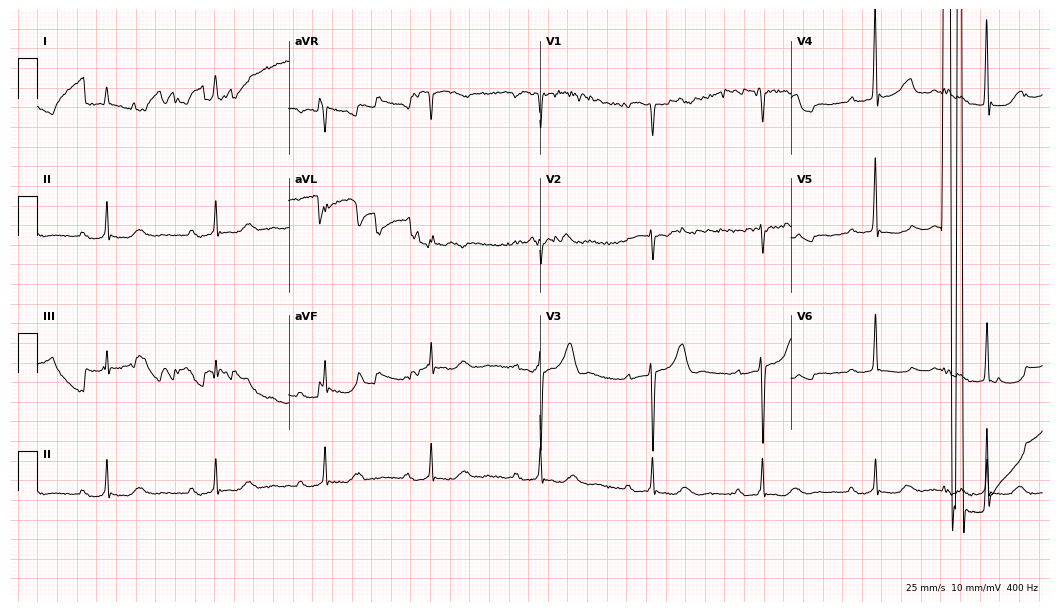
Standard 12-lead ECG recorded from a male patient, 78 years old (10.2-second recording at 400 Hz). None of these six findings is recorded: first-degree AV block, right bundle branch block, left bundle branch block, sinus bradycardia, atrial fibrillation, sinus tachycardia. Other findings, if any, are not listed.